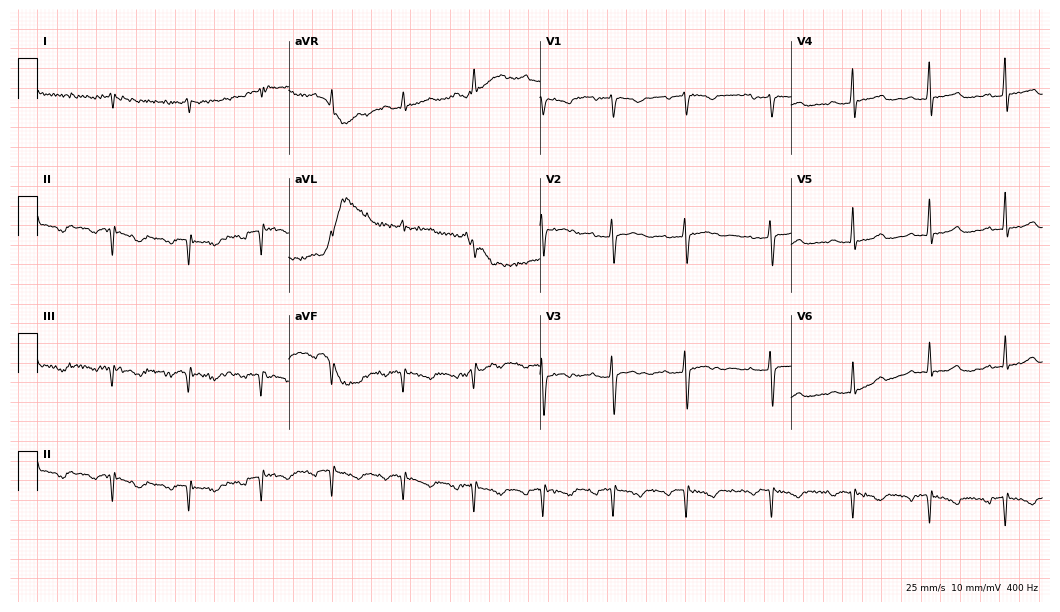
12-lead ECG from a female patient, 27 years old (10.2-second recording at 400 Hz). No first-degree AV block, right bundle branch block, left bundle branch block, sinus bradycardia, atrial fibrillation or sinus tachycardia recorded for this tracing. Findings outside these six are not listed.